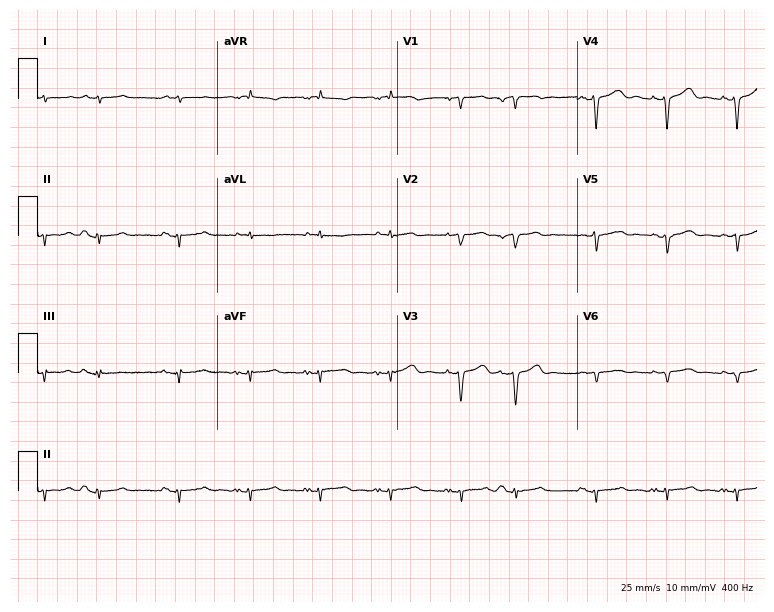
Resting 12-lead electrocardiogram. Patient: a male, 79 years old. None of these six findings is recorded: first-degree AV block, right bundle branch block (RBBB), left bundle branch block (LBBB), sinus bradycardia, atrial fibrillation (AF), sinus tachycardia.